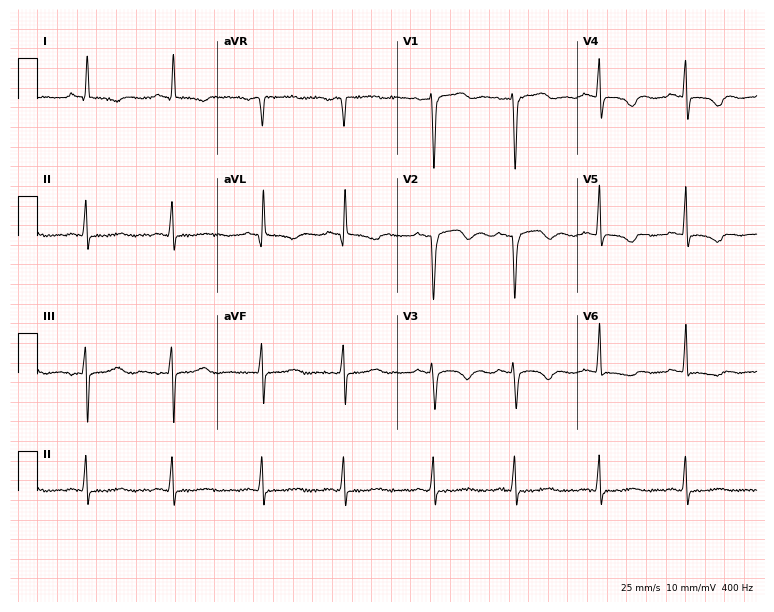
ECG (7.3-second recording at 400 Hz) — a 62-year-old female. Screened for six findings — first-degree AV block, right bundle branch block, left bundle branch block, sinus bradycardia, atrial fibrillation, sinus tachycardia — none is recorded.